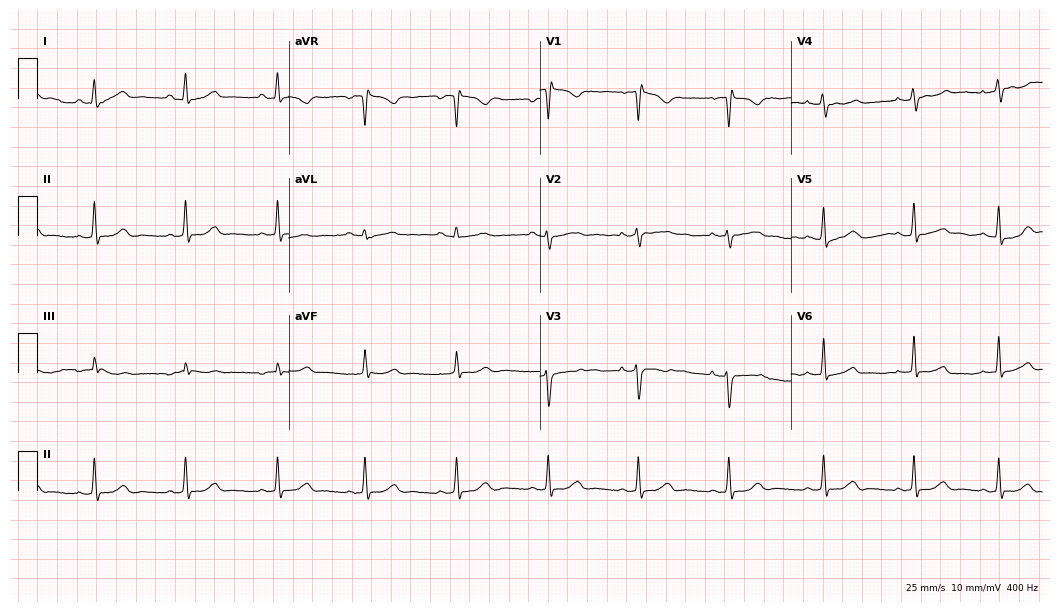
Electrocardiogram, a woman, 21 years old. Of the six screened findings (first-degree AV block, right bundle branch block (RBBB), left bundle branch block (LBBB), sinus bradycardia, atrial fibrillation (AF), sinus tachycardia), none is recorded. Other findings, if any, are not listed.